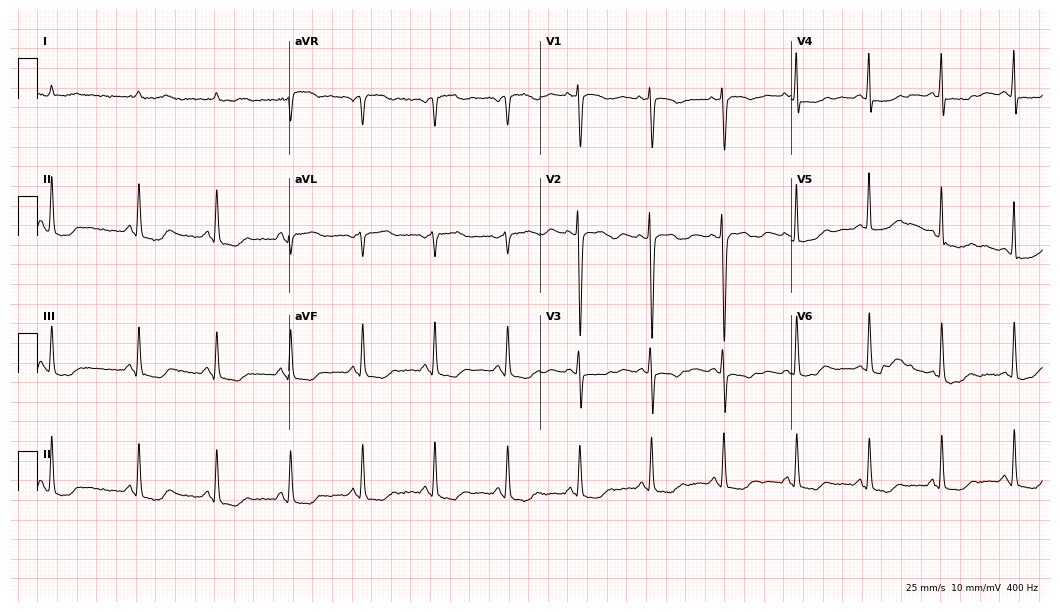
Standard 12-lead ECG recorded from an 84-year-old woman (10.2-second recording at 400 Hz). None of these six findings is recorded: first-degree AV block, right bundle branch block, left bundle branch block, sinus bradycardia, atrial fibrillation, sinus tachycardia.